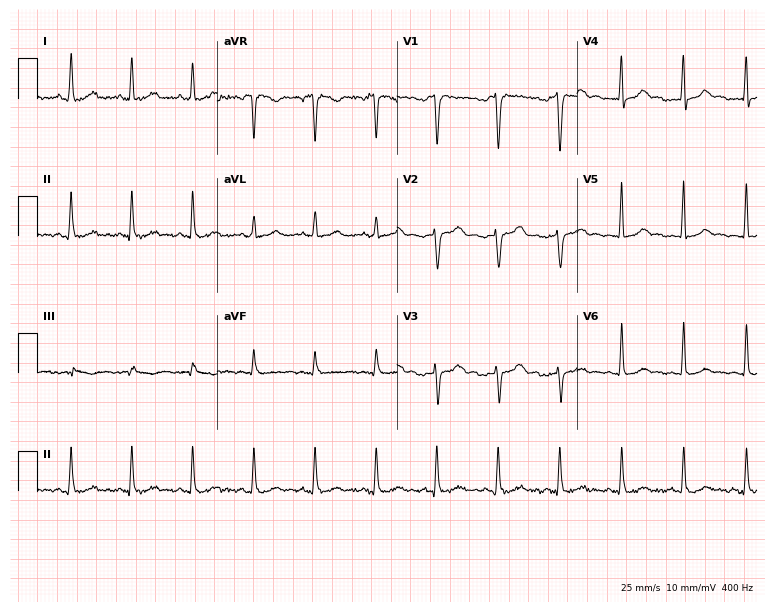
ECG (7.3-second recording at 400 Hz) — a woman, 38 years old. Screened for six findings — first-degree AV block, right bundle branch block, left bundle branch block, sinus bradycardia, atrial fibrillation, sinus tachycardia — none is recorded. Other findings, if any, are not listed.